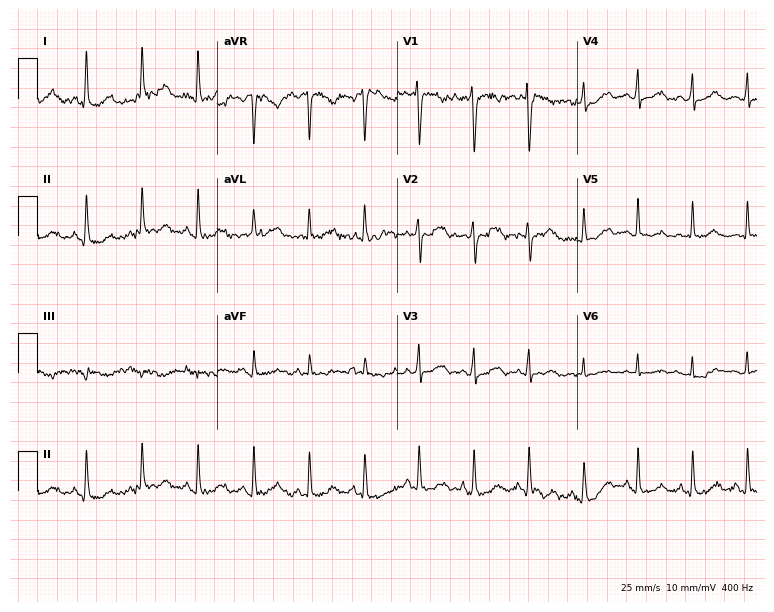
12-lead ECG (7.3-second recording at 400 Hz) from a 49-year-old female. Findings include sinus tachycardia (a sinus rate of 100 beats per minute or more).